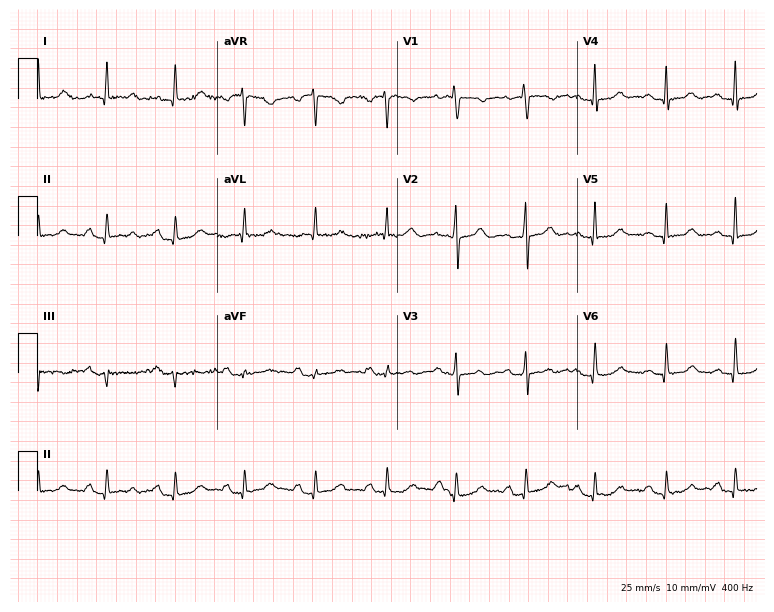
12-lead ECG from a 78-year-old female patient (7.3-second recording at 400 Hz). Recorded interpretation: within normal limits.